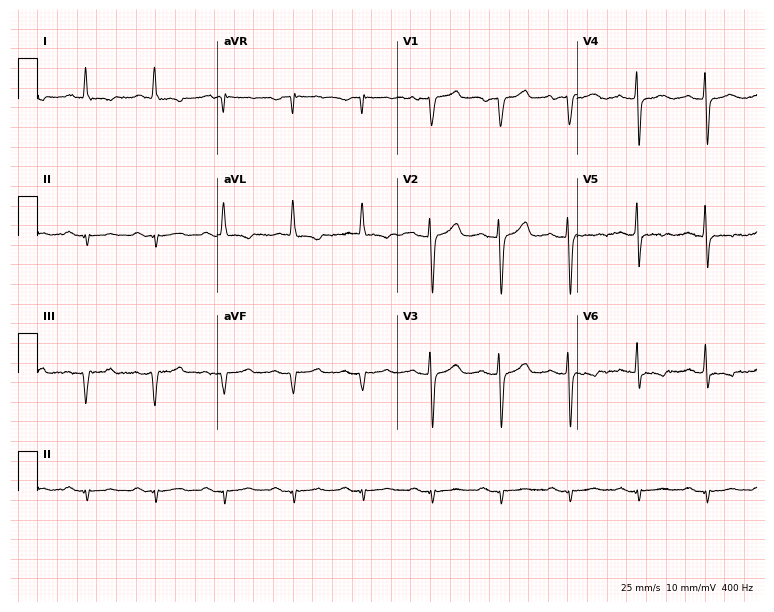
12-lead ECG from a man, 66 years old. No first-degree AV block, right bundle branch block (RBBB), left bundle branch block (LBBB), sinus bradycardia, atrial fibrillation (AF) or sinus tachycardia recorded for this tracing.